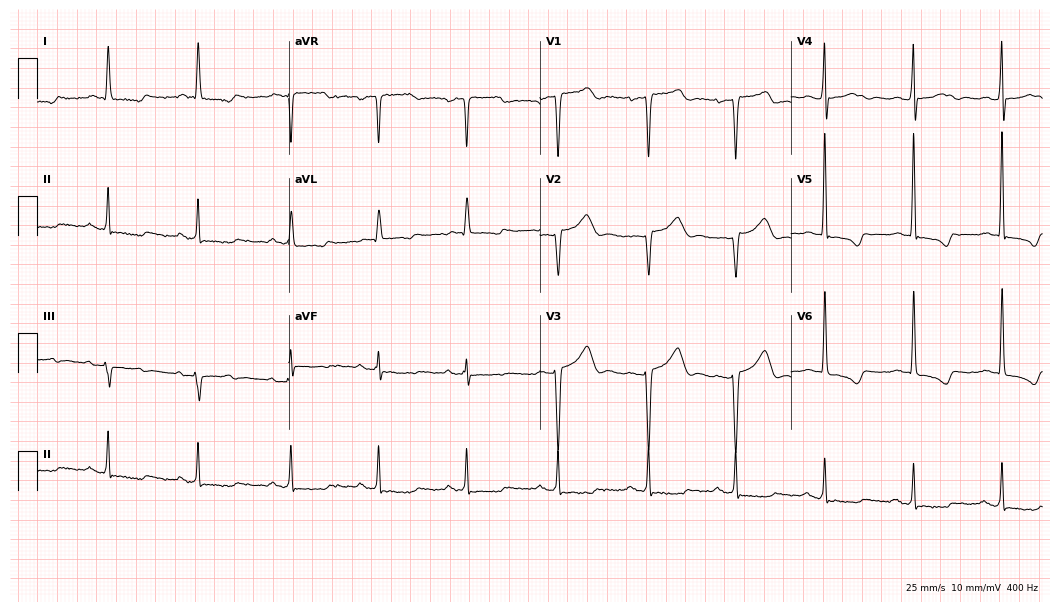
Standard 12-lead ECG recorded from a female, 61 years old (10.2-second recording at 400 Hz). None of these six findings is recorded: first-degree AV block, right bundle branch block (RBBB), left bundle branch block (LBBB), sinus bradycardia, atrial fibrillation (AF), sinus tachycardia. Findings outside these six are not listed.